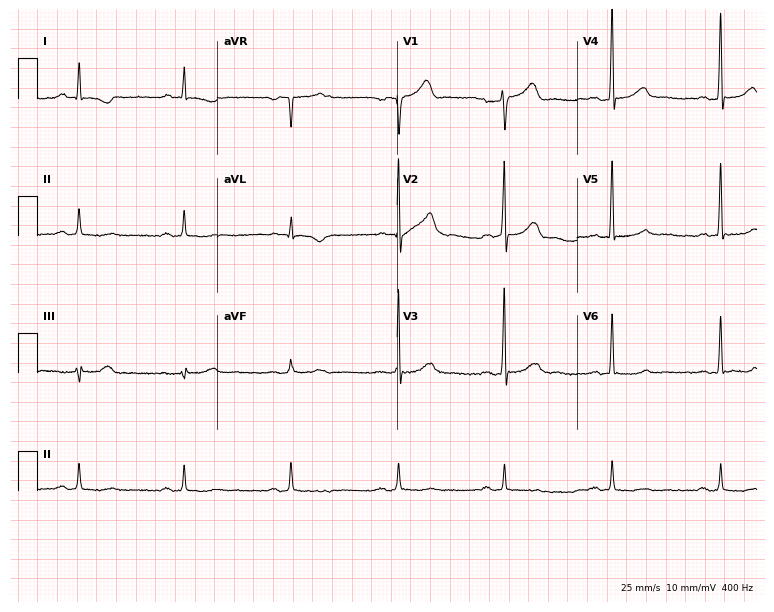
Resting 12-lead electrocardiogram (7.3-second recording at 400 Hz). Patient: a man, 65 years old. None of these six findings is recorded: first-degree AV block, right bundle branch block, left bundle branch block, sinus bradycardia, atrial fibrillation, sinus tachycardia.